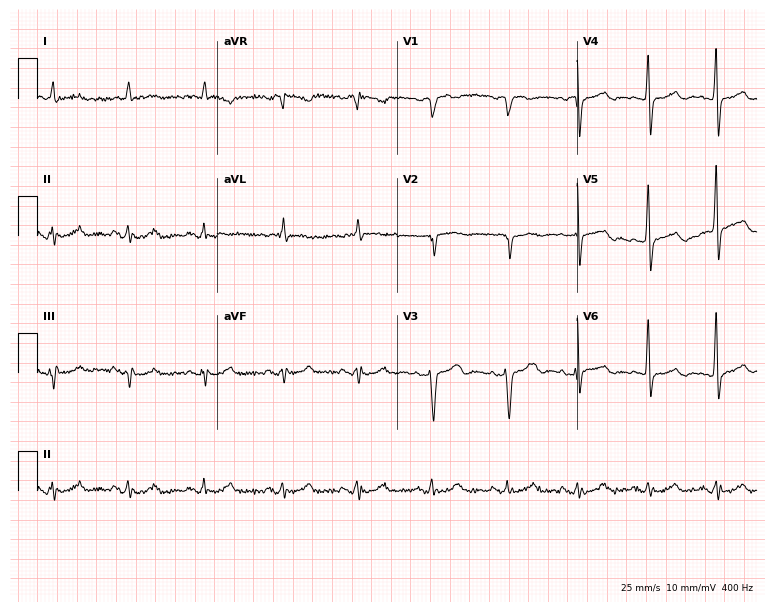
Resting 12-lead electrocardiogram. Patient: a male, 84 years old. None of these six findings is recorded: first-degree AV block, right bundle branch block (RBBB), left bundle branch block (LBBB), sinus bradycardia, atrial fibrillation (AF), sinus tachycardia.